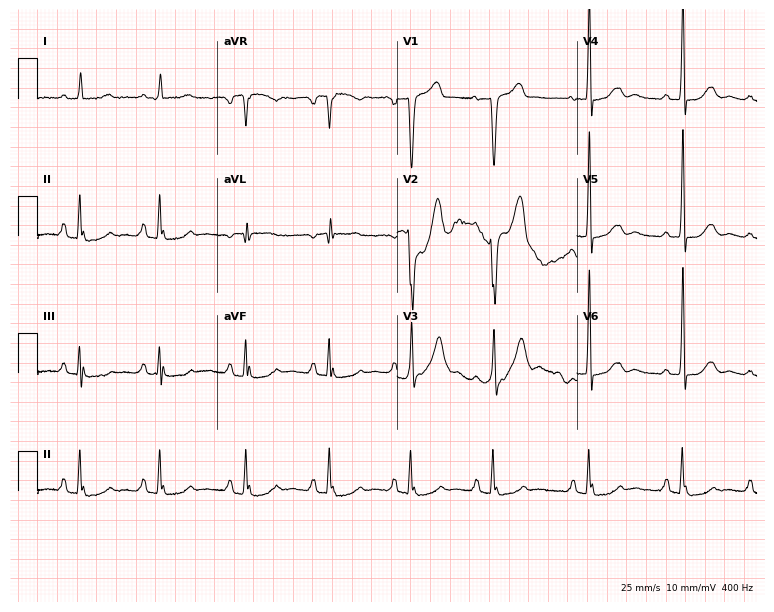
12-lead ECG from a 72-year-old male patient (7.3-second recording at 400 Hz). No first-degree AV block, right bundle branch block, left bundle branch block, sinus bradycardia, atrial fibrillation or sinus tachycardia recorded for this tracing.